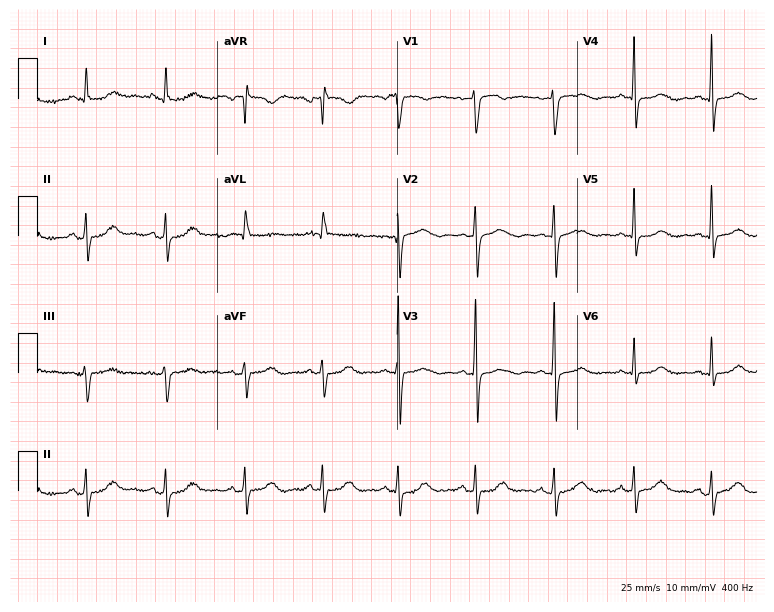
Resting 12-lead electrocardiogram (7.3-second recording at 400 Hz). Patient: a female, 71 years old. Read as a normal ECG.